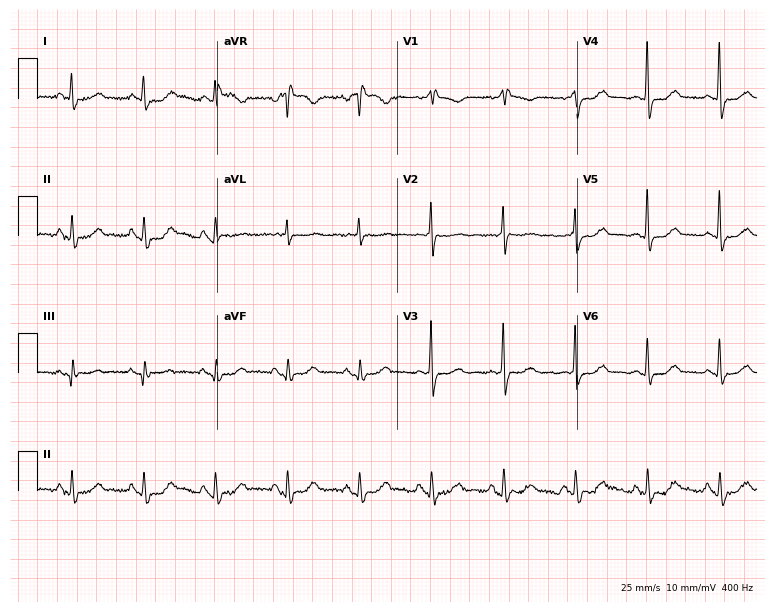
ECG — a 69-year-old female. Screened for six findings — first-degree AV block, right bundle branch block, left bundle branch block, sinus bradycardia, atrial fibrillation, sinus tachycardia — none is recorded.